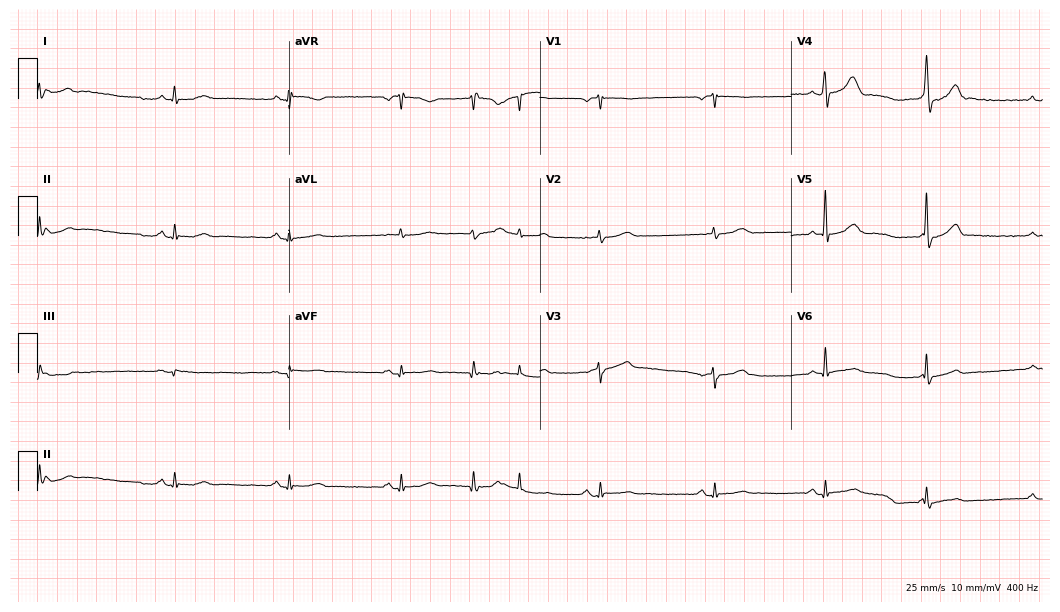
Resting 12-lead electrocardiogram (10.2-second recording at 400 Hz). Patient: a man, 73 years old. Read as a normal ECG.